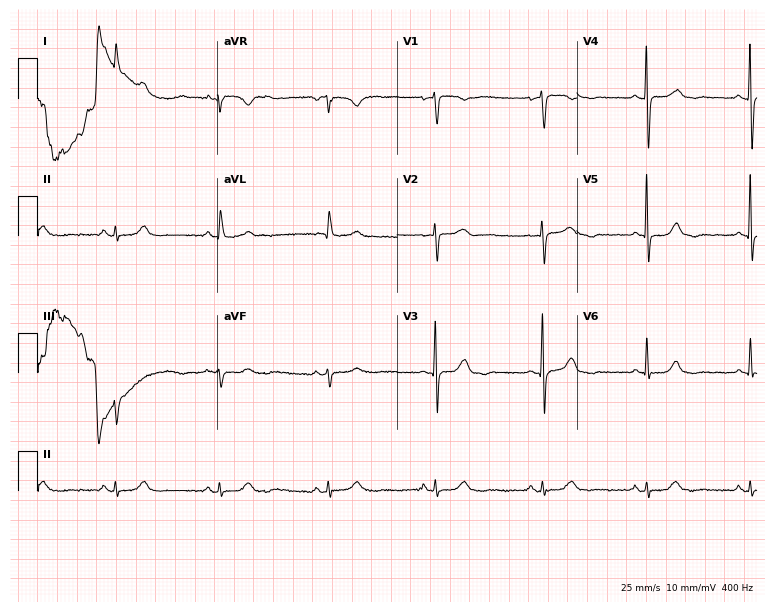
Resting 12-lead electrocardiogram (7.3-second recording at 400 Hz). Patient: a woman, 61 years old. Read as a normal ECG.